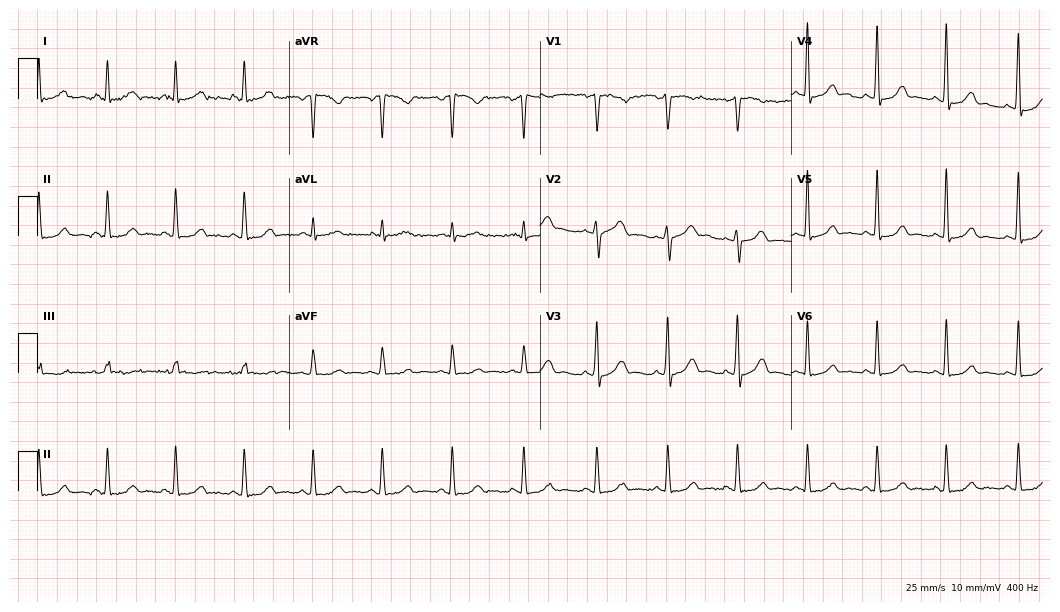
Standard 12-lead ECG recorded from a woman, 38 years old. Read as a normal ECG.